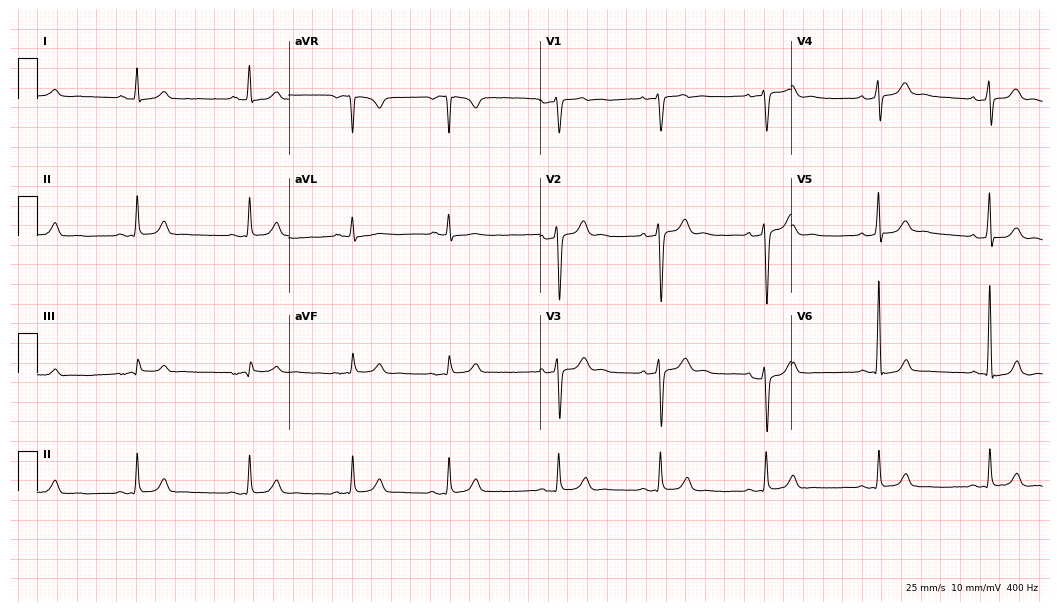
Resting 12-lead electrocardiogram (10.2-second recording at 400 Hz). Patient: a 40-year-old male. Read as a normal ECG.